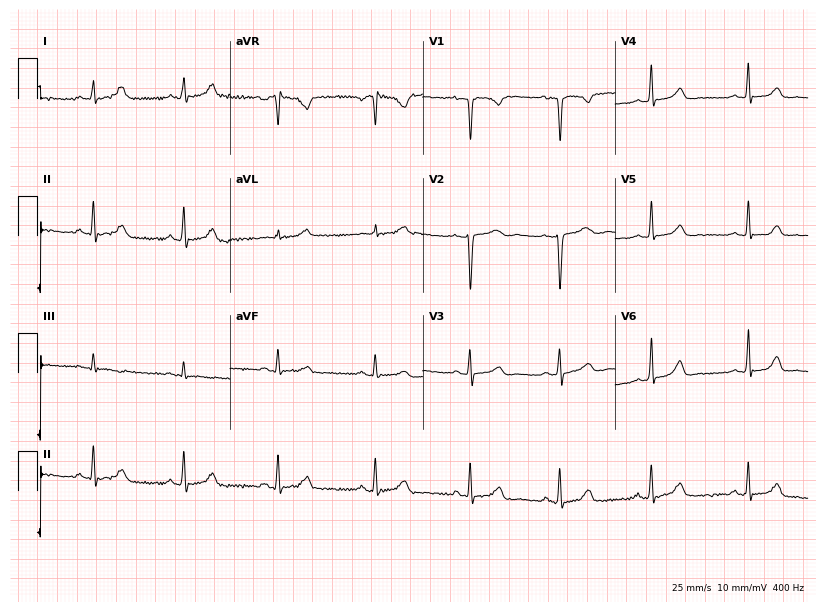
Standard 12-lead ECG recorded from a female patient, 33 years old (7.9-second recording at 400 Hz). None of these six findings is recorded: first-degree AV block, right bundle branch block, left bundle branch block, sinus bradycardia, atrial fibrillation, sinus tachycardia. Other findings, if any, are not listed.